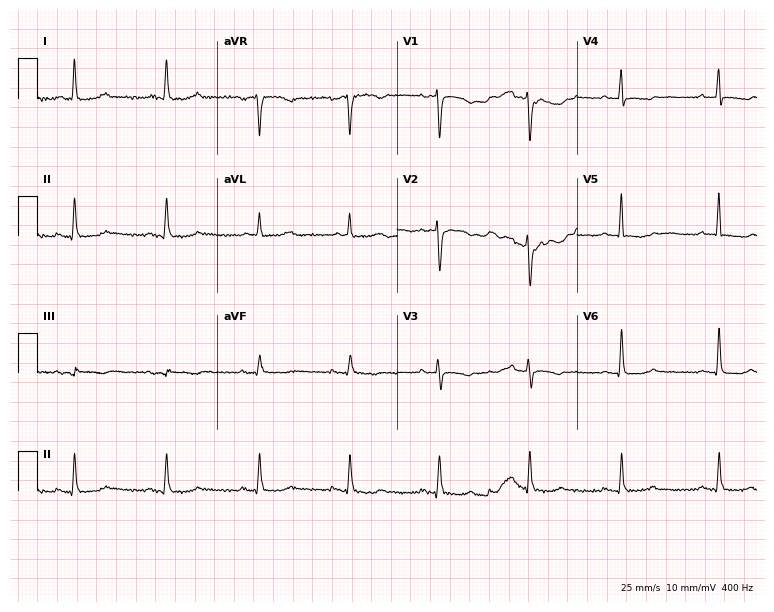
12-lead ECG from a woman, 66 years old. No first-degree AV block, right bundle branch block (RBBB), left bundle branch block (LBBB), sinus bradycardia, atrial fibrillation (AF) or sinus tachycardia recorded for this tracing.